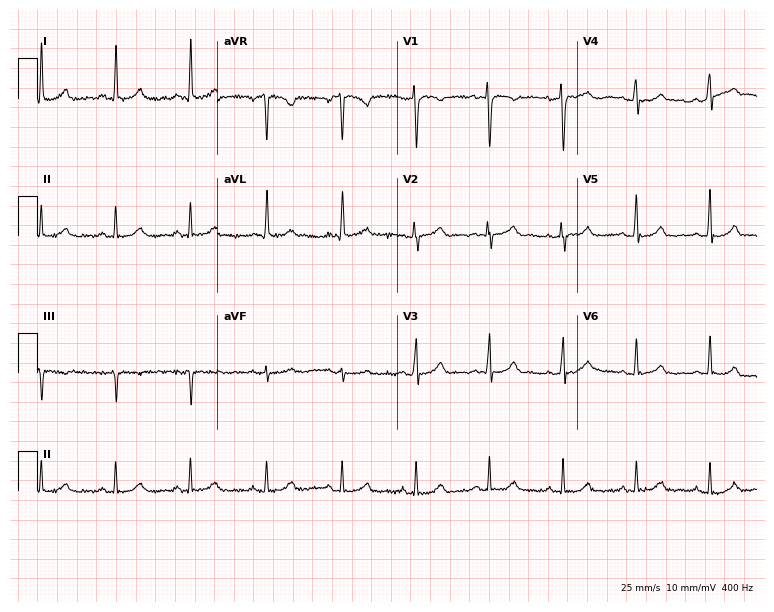
Electrocardiogram, a female patient, 46 years old. Of the six screened findings (first-degree AV block, right bundle branch block, left bundle branch block, sinus bradycardia, atrial fibrillation, sinus tachycardia), none is recorded.